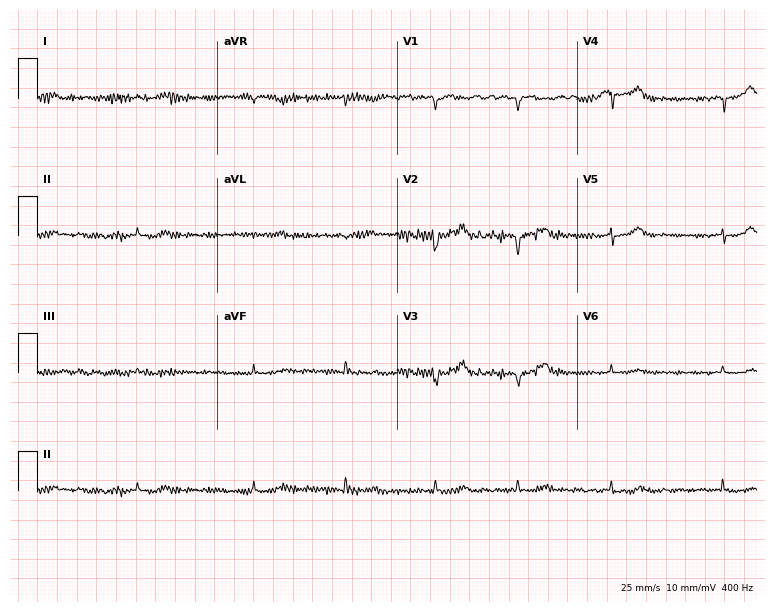
12-lead ECG from a 74-year-old woman. No first-degree AV block, right bundle branch block (RBBB), left bundle branch block (LBBB), sinus bradycardia, atrial fibrillation (AF) or sinus tachycardia recorded for this tracing. Other findings, if any, are not listed.